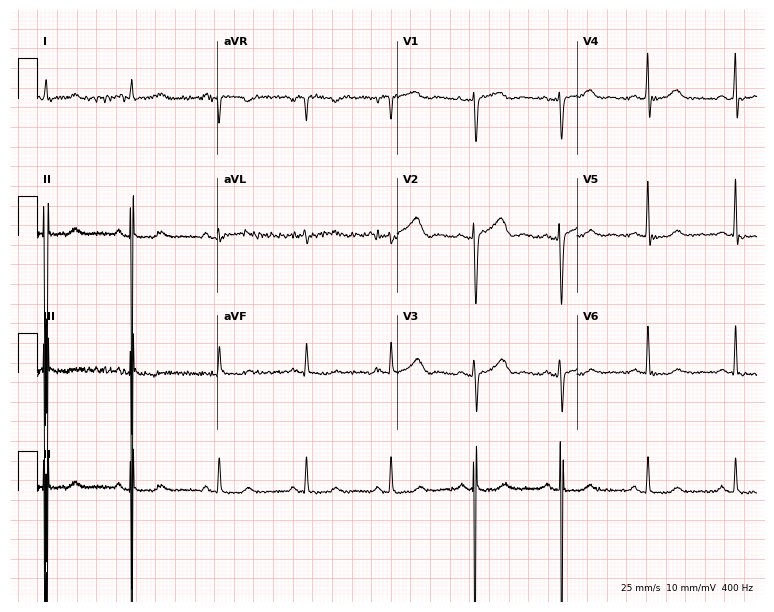
12-lead ECG from a female patient, 32 years old. Screened for six findings — first-degree AV block, right bundle branch block (RBBB), left bundle branch block (LBBB), sinus bradycardia, atrial fibrillation (AF), sinus tachycardia — none is recorded. Findings outside these six are not listed.